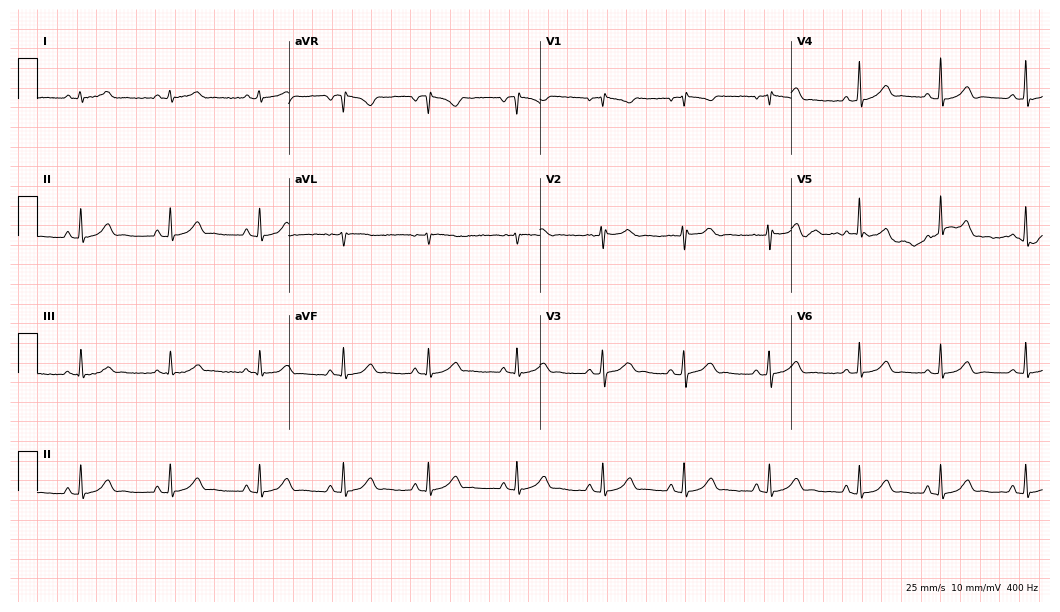
Resting 12-lead electrocardiogram (10.2-second recording at 400 Hz). Patient: a 25-year-old female. Read as a normal ECG.